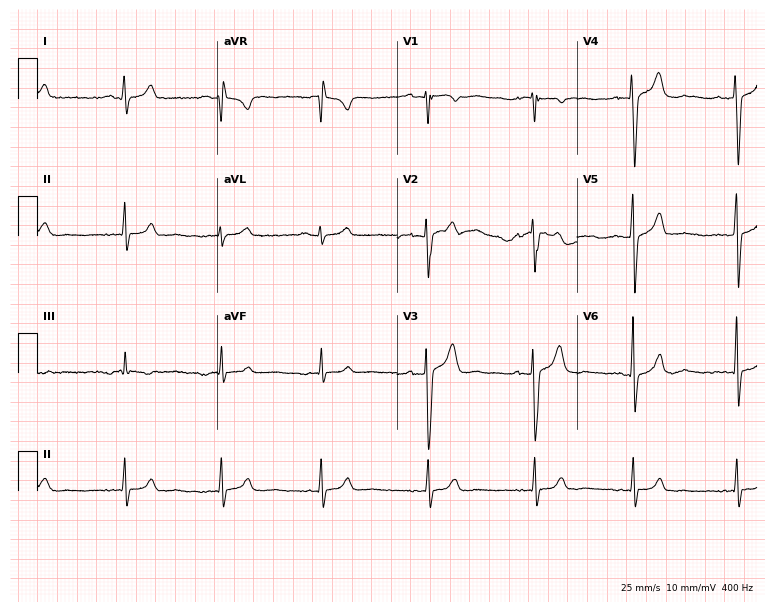
Electrocardiogram, a woman, 41 years old. Of the six screened findings (first-degree AV block, right bundle branch block (RBBB), left bundle branch block (LBBB), sinus bradycardia, atrial fibrillation (AF), sinus tachycardia), none is recorded.